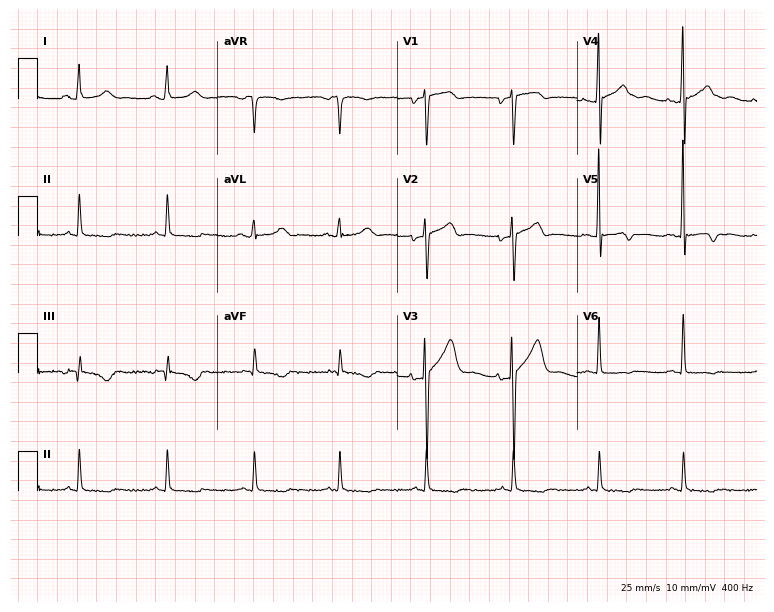
Standard 12-lead ECG recorded from a woman, 65 years old (7.3-second recording at 400 Hz). None of these six findings is recorded: first-degree AV block, right bundle branch block (RBBB), left bundle branch block (LBBB), sinus bradycardia, atrial fibrillation (AF), sinus tachycardia. Only these six findings were labelled.